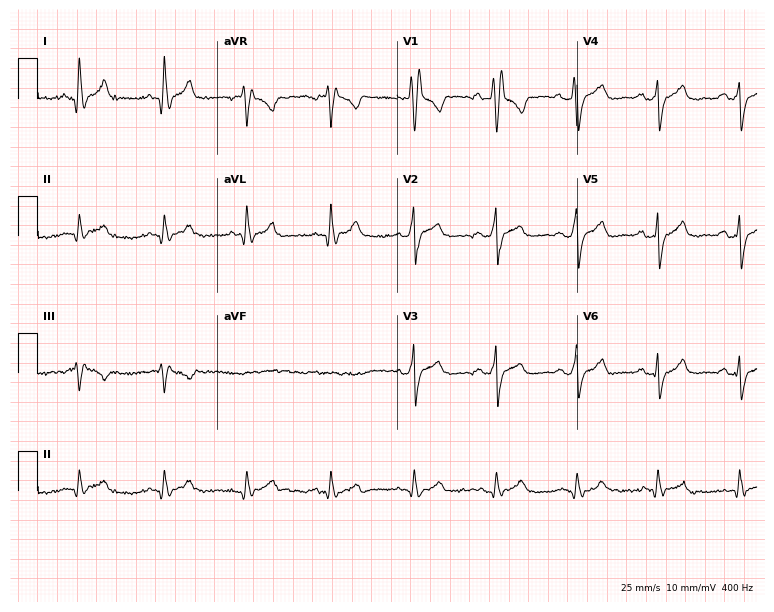
Standard 12-lead ECG recorded from a male, 39 years old. The tracing shows right bundle branch block.